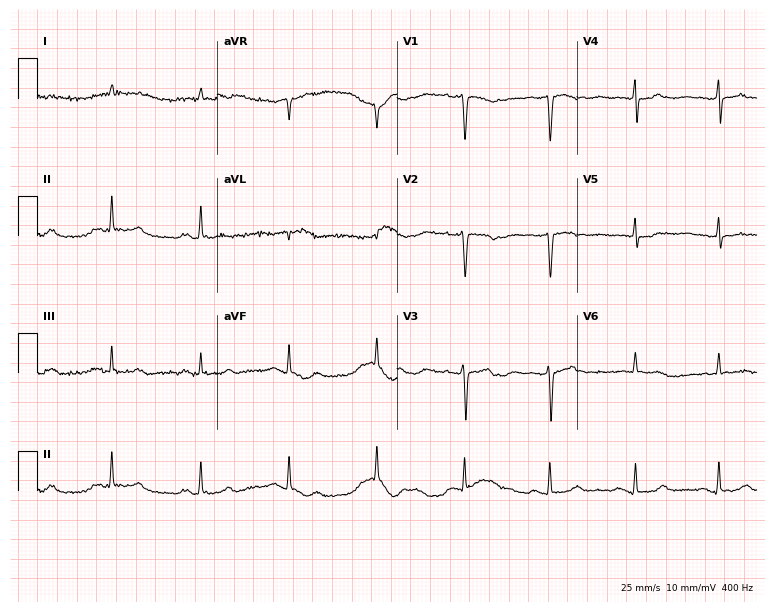
ECG (7.3-second recording at 400 Hz) — a man, 75 years old. Screened for six findings — first-degree AV block, right bundle branch block, left bundle branch block, sinus bradycardia, atrial fibrillation, sinus tachycardia — none is recorded.